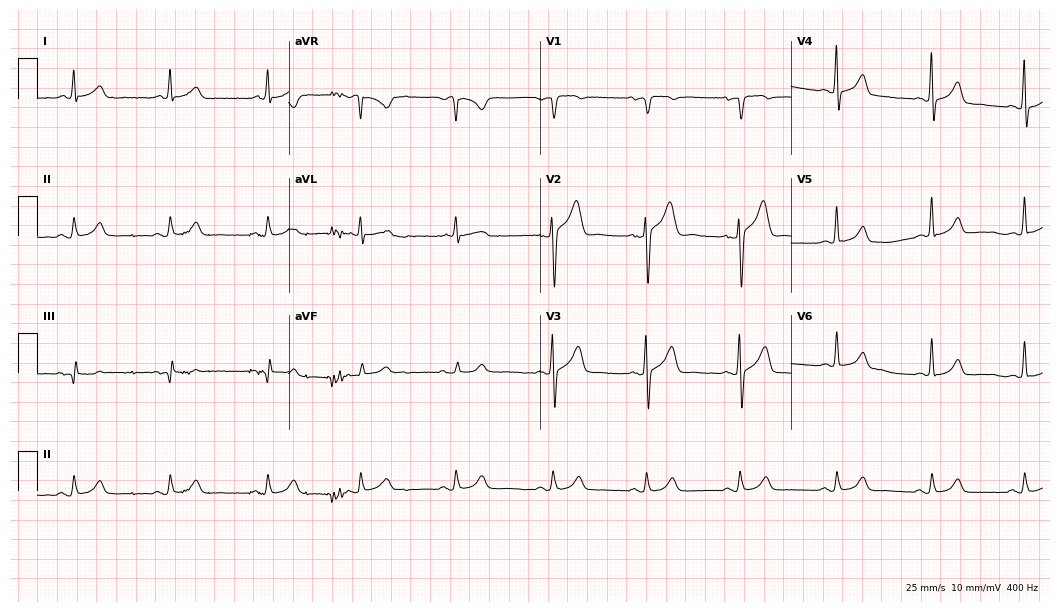
Standard 12-lead ECG recorded from a 64-year-old male patient. Read as a normal ECG.